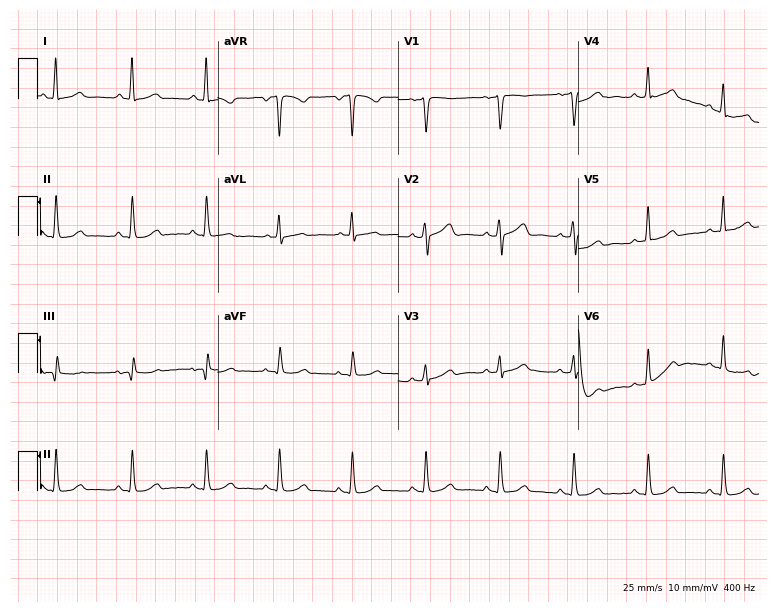
Electrocardiogram, a female patient, 47 years old. Overall reading on record: normal ECG.